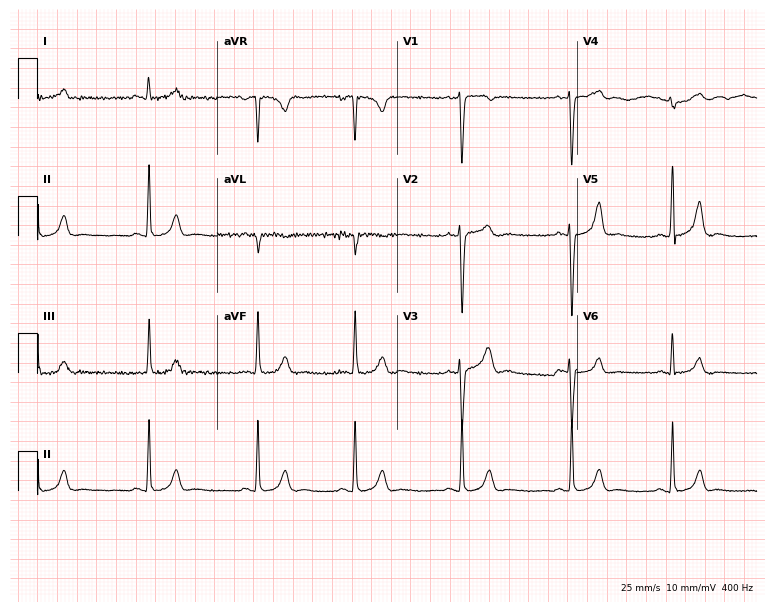
Resting 12-lead electrocardiogram (7.3-second recording at 400 Hz). Patient: a woman, 22 years old. None of these six findings is recorded: first-degree AV block, right bundle branch block (RBBB), left bundle branch block (LBBB), sinus bradycardia, atrial fibrillation (AF), sinus tachycardia. Only these six findings were labelled.